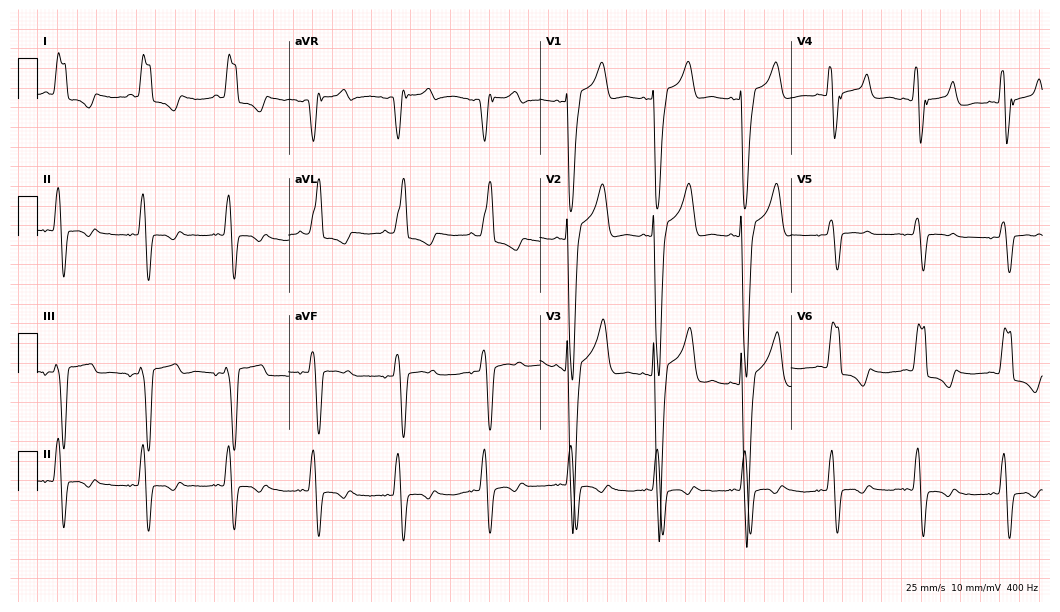
12-lead ECG (10.2-second recording at 400 Hz) from a woman, 87 years old. Findings include left bundle branch block.